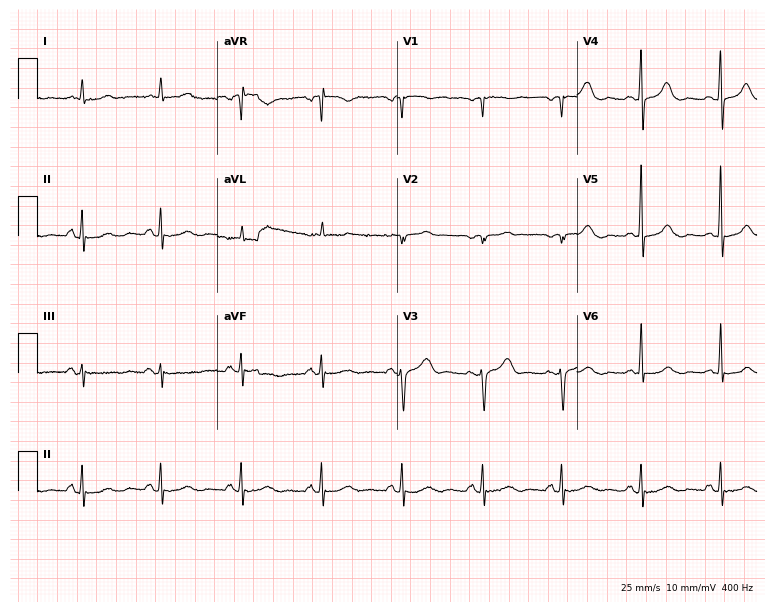
Standard 12-lead ECG recorded from a 72-year-old female patient (7.3-second recording at 400 Hz). None of these six findings is recorded: first-degree AV block, right bundle branch block, left bundle branch block, sinus bradycardia, atrial fibrillation, sinus tachycardia. Findings outside these six are not listed.